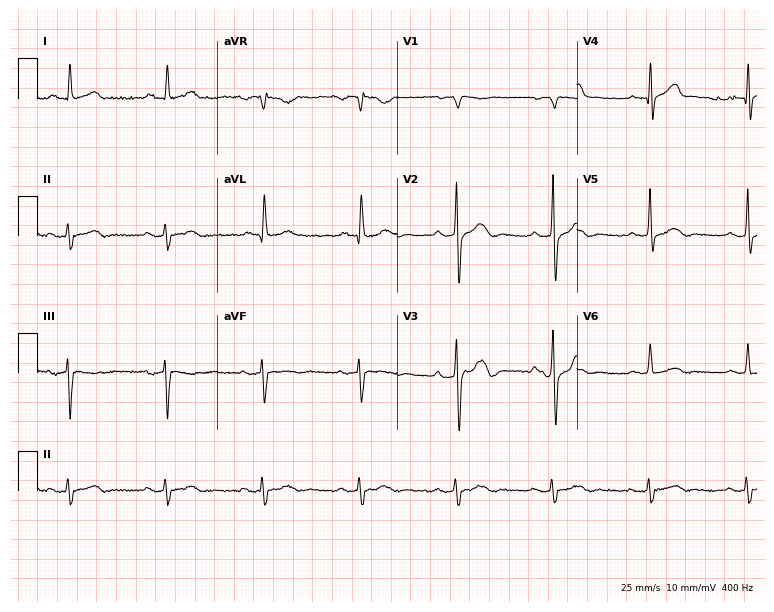
Resting 12-lead electrocardiogram. Patient: a man, 70 years old. None of these six findings is recorded: first-degree AV block, right bundle branch block, left bundle branch block, sinus bradycardia, atrial fibrillation, sinus tachycardia.